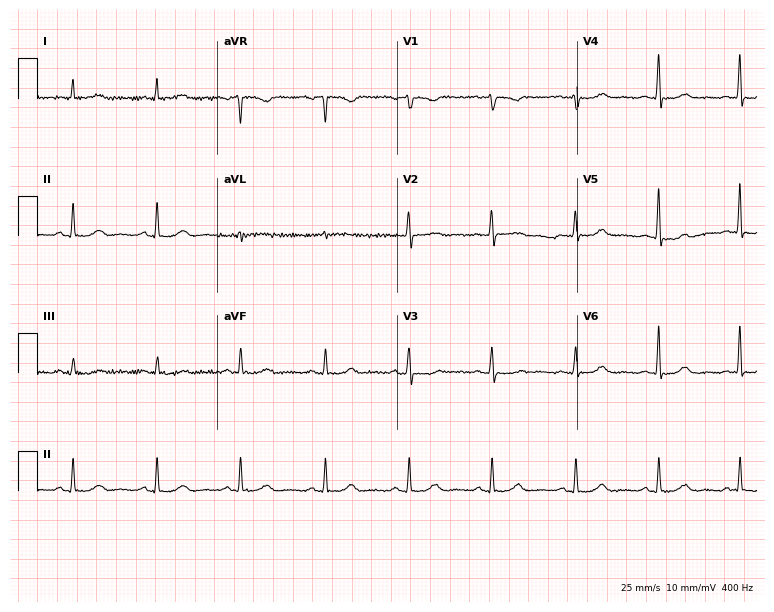
Resting 12-lead electrocardiogram (7.3-second recording at 400 Hz). Patient: a 59-year-old female. None of these six findings is recorded: first-degree AV block, right bundle branch block (RBBB), left bundle branch block (LBBB), sinus bradycardia, atrial fibrillation (AF), sinus tachycardia. Only these six findings were labelled.